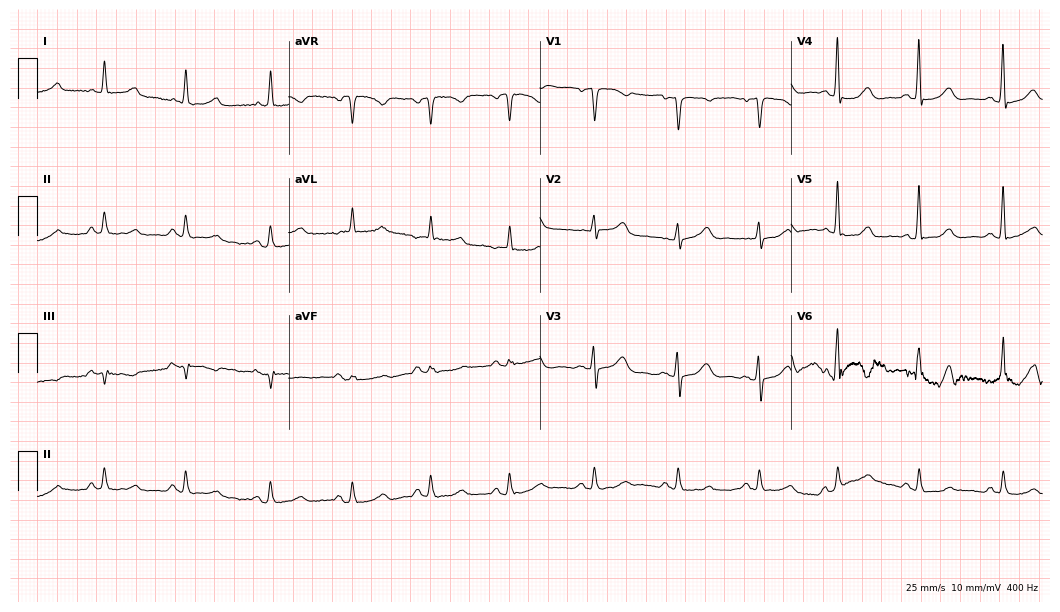
Electrocardiogram, a 58-year-old female patient. Overall reading on record: normal ECG.